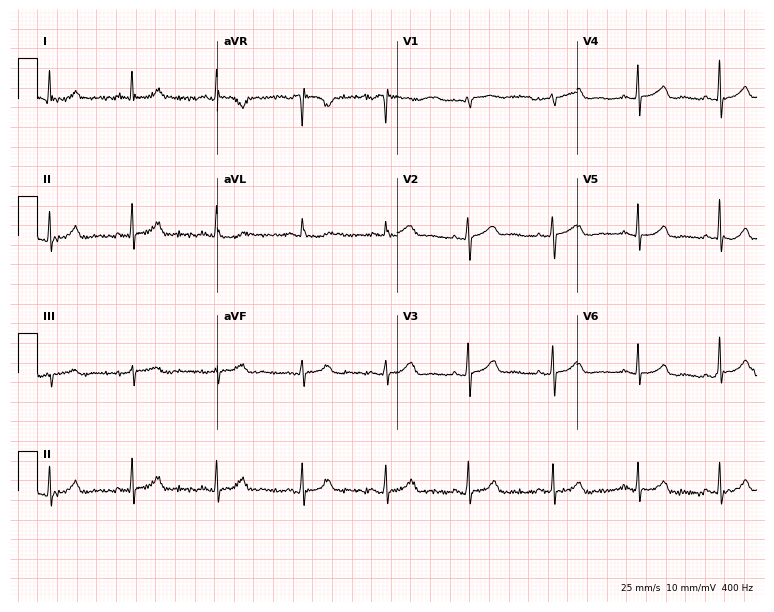
12-lead ECG from a female patient, 60 years old. Labelled as a normal ECG.